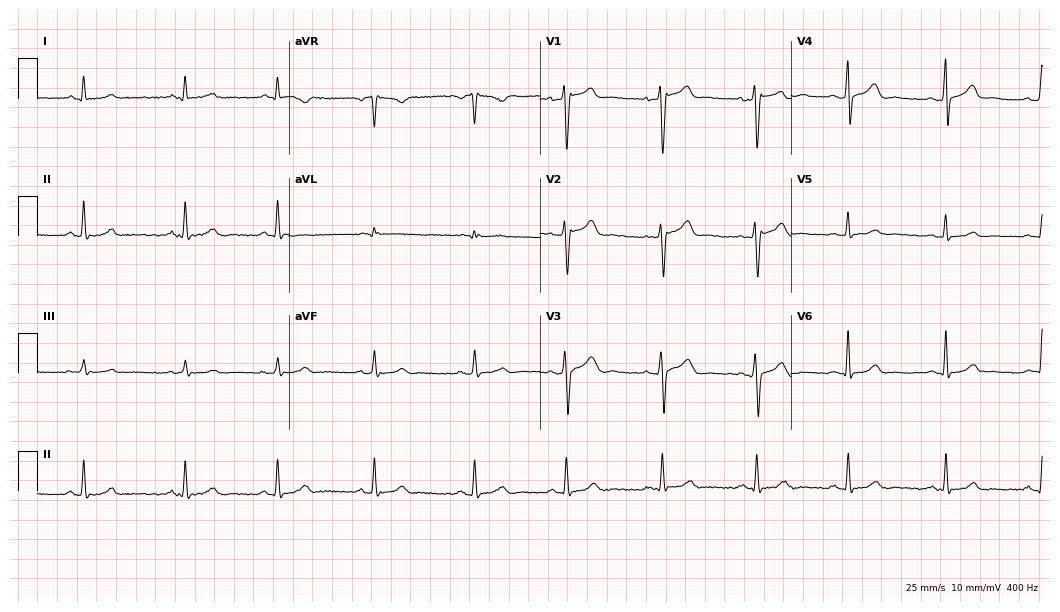
12-lead ECG from a 36-year-old male. Labelled as a normal ECG.